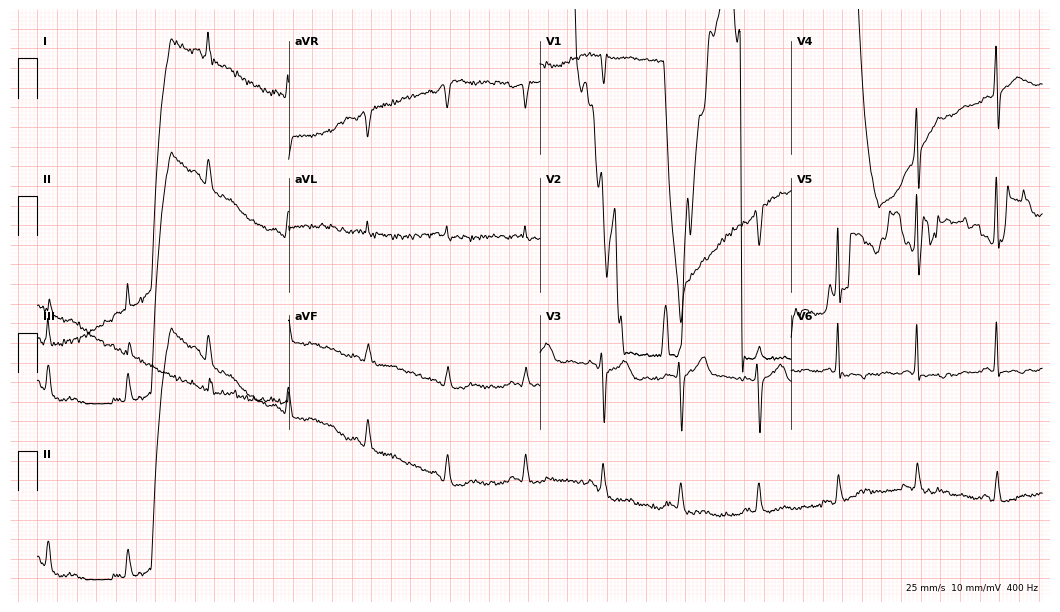
ECG (10.2-second recording at 400 Hz) — a 65-year-old male. Screened for six findings — first-degree AV block, right bundle branch block, left bundle branch block, sinus bradycardia, atrial fibrillation, sinus tachycardia — none is recorded.